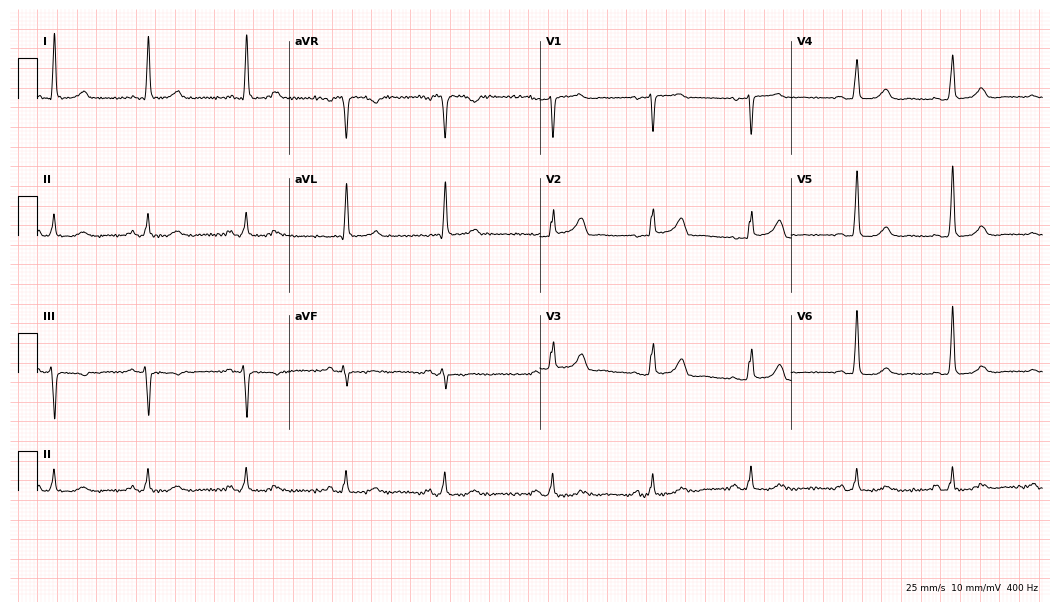
Resting 12-lead electrocardiogram. Patient: a 68-year-old woman. Read as a normal ECG.